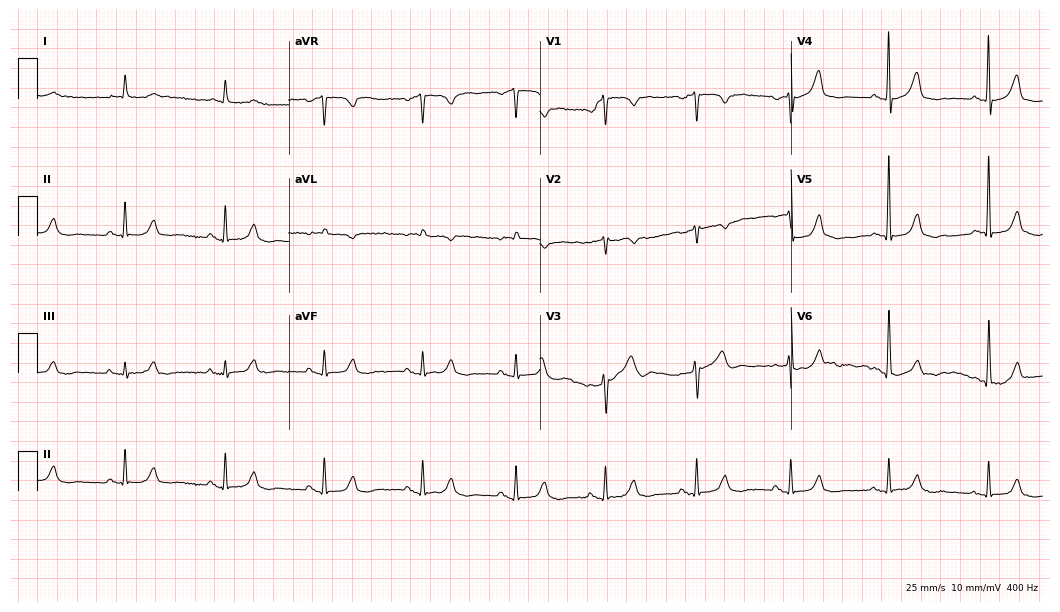
12-lead ECG from a man, 82 years old. Screened for six findings — first-degree AV block, right bundle branch block, left bundle branch block, sinus bradycardia, atrial fibrillation, sinus tachycardia — none is recorded.